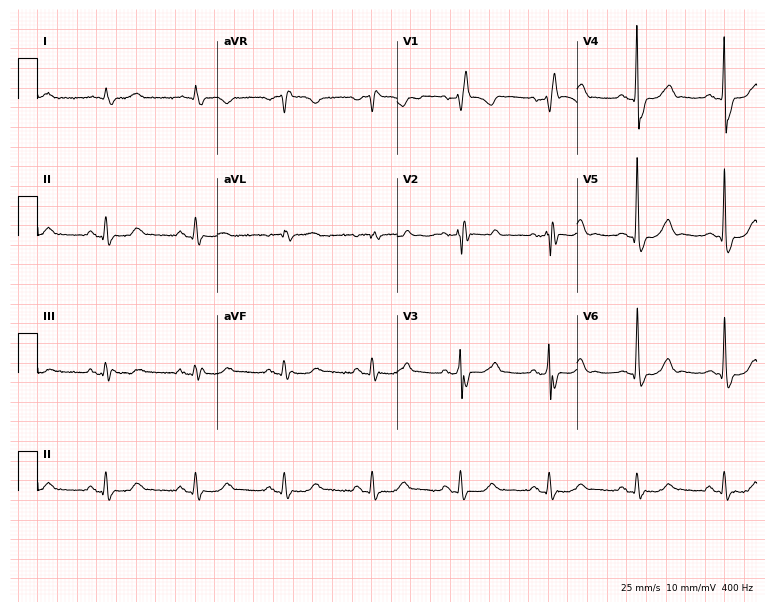
12-lead ECG (7.3-second recording at 400 Hz) from an 80-year-old male patient. Findings include right bundle branch block.